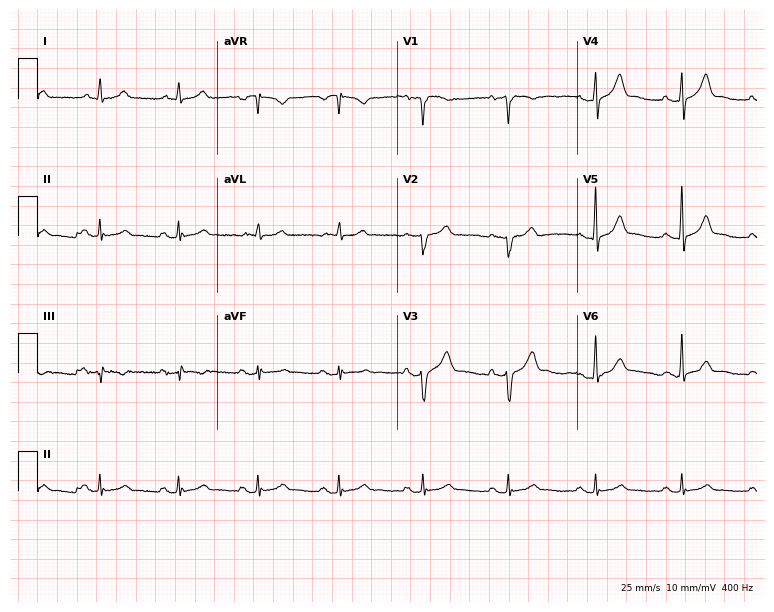
12-lead ECG (7.3-second recording at 400 Hz) from a male patient, 58 years old. Screened for six findings — first-degree AV block, right bundle branch block, left bundle branch block, sinus bradycardia, atrial fibrillation, sinus tachycardia — none is recorded. Findings outside these six are not listed.